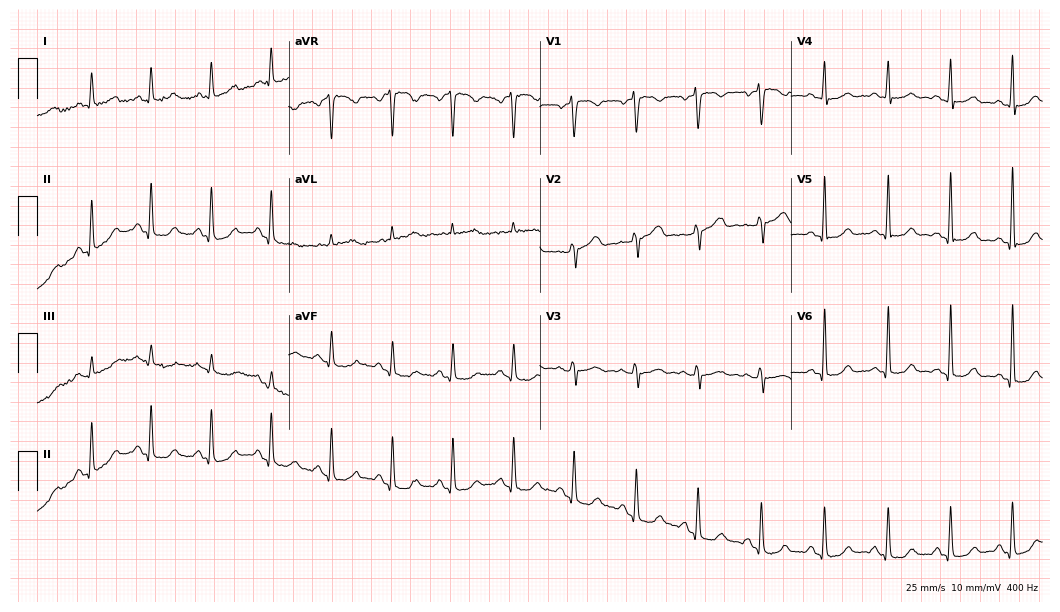
12-lead ECG from a 49-year-old female. Labelled as a normal ECG.